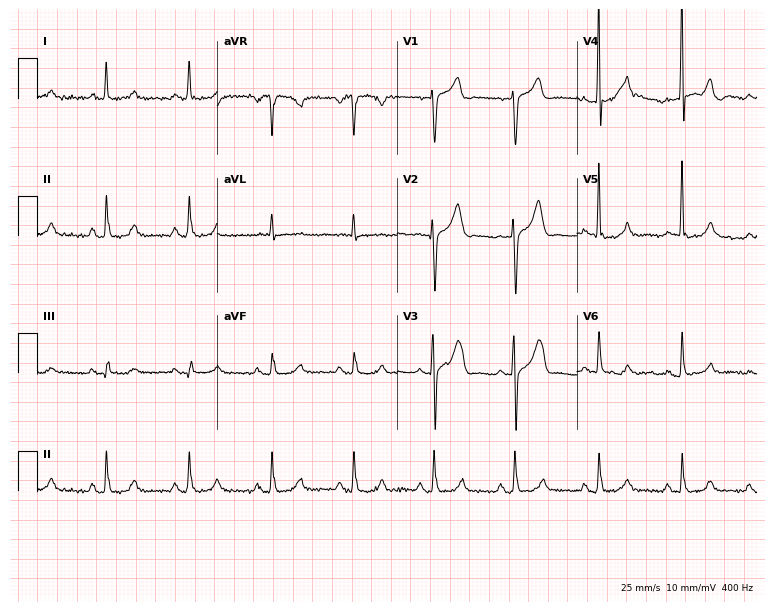
Resting 12-lead electrocardiogram. Patient: a 75-year-old man. Read as a normal ECG.